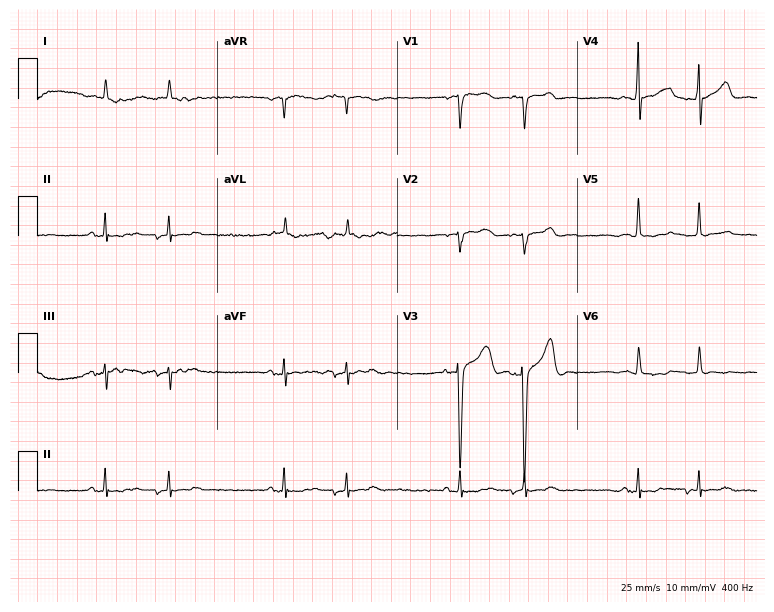
12-lead ECG (7.3-second recording at 400 Hz) from an 85-year-old female. Screened for six findings — first-degree AV block, right bundle branch block, left bundle branch block, sinus bradycardia, atrial fibrillation, sinus tachycardia — none is recorded.